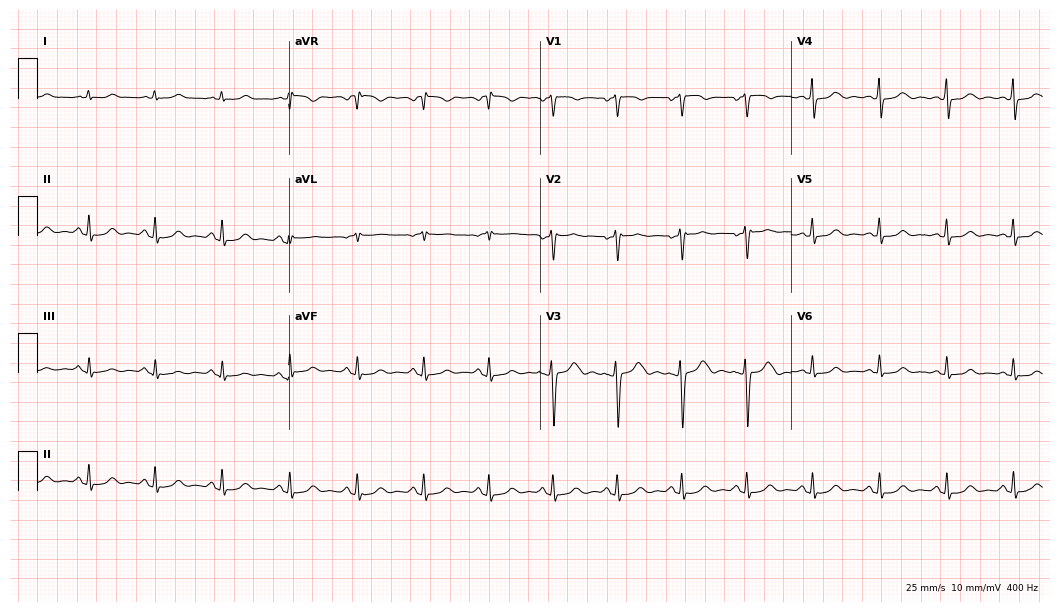
12-lead ECG (10.2-second recording at 400 Hz) from a female patient, 42 years old. Labelled as a normal ECG.